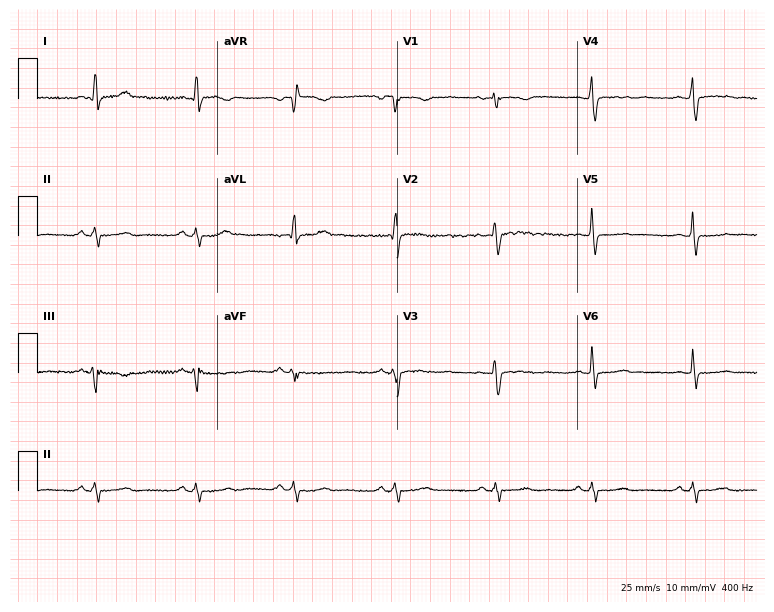
Electrocardiogram (7.3-second recording at 400 Hz), a female patient, 40 years old. Of the six screened findings (first-degree AV block, right bundle branch block (RBBB), left bundle branch block (LBBB), sinus bradycardia, atrial fibrillation (AF), sinus tachycardia), none is recorded.